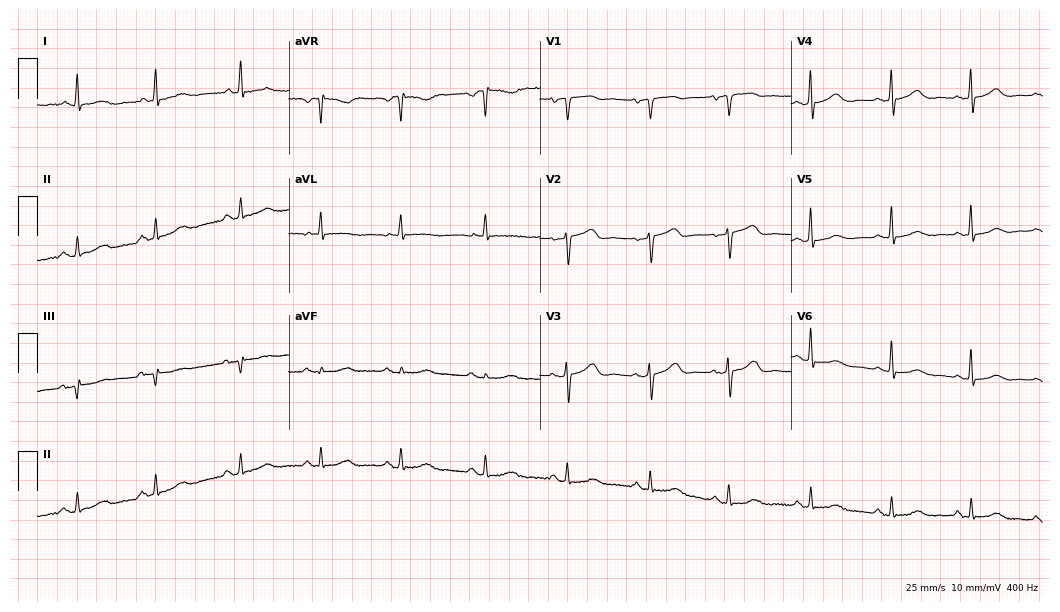
ECG (10.2-second recording at 400 Hz) — a 69-year-old female. Screened for six findings — first-degree AV block, right bundle branch block, left bundle branch block, sinus bradycardia, atrial fibrillation, sinus tachycardia — none is recorded.